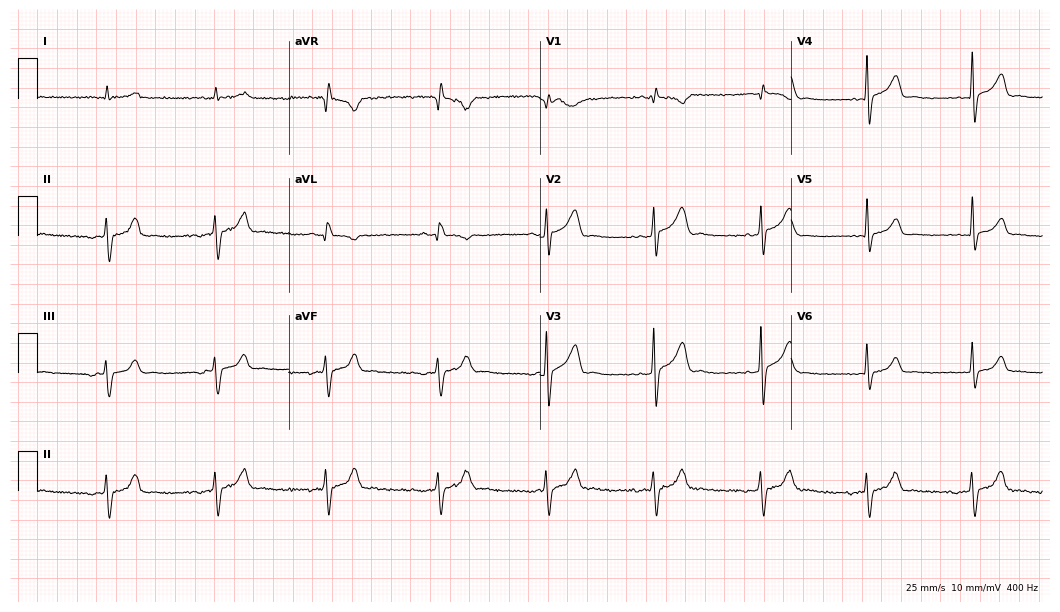
12-lead ECG from a 76-year-old male patient (10.2-second recording at 400 Hz). No first-degree AV block, right bundle branch block, left bundle branch block, sinus bradycardia, atrial fibrillation or sinus tachycardia recorded for this tracing. Other findings, if any, are not listed.